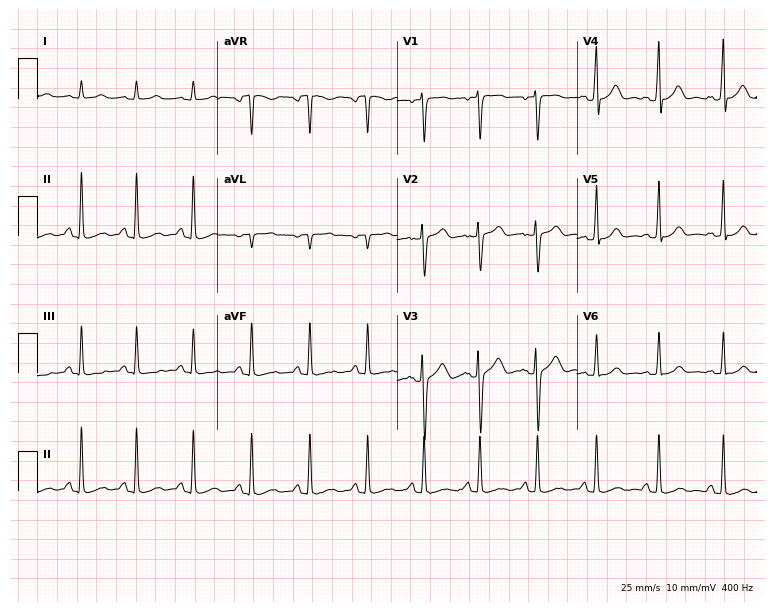
12-lead ECG from a 21-year-old woman (7.3-second recording at 400 Hz). Shows sinus tachycardia (a sinus rate of 100 beats per minute or more).